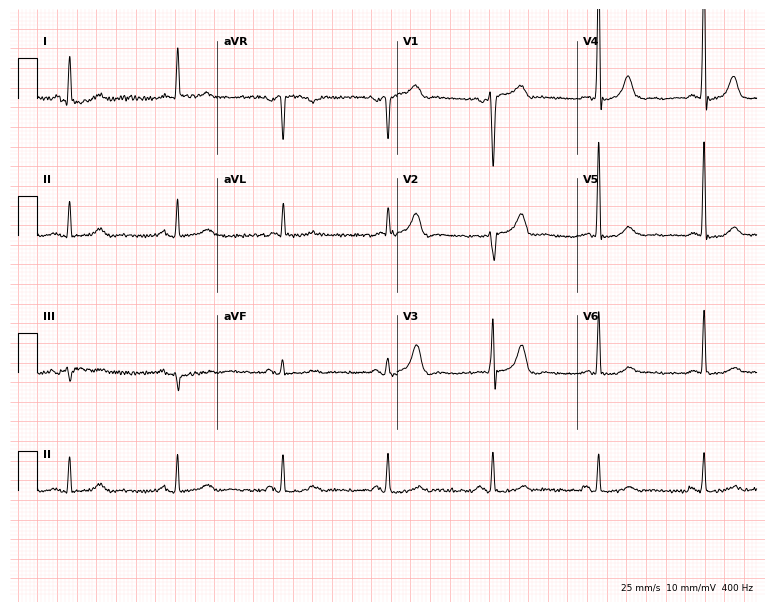
12-lead ECG from a male patient, 78 years old. No first-degree AV block, right bundle branch block, left bundle branch block, sinus bradycardia, atrial fibrillation or sinus tachycardia recorded for this tracing. Only these six findings were labelled.